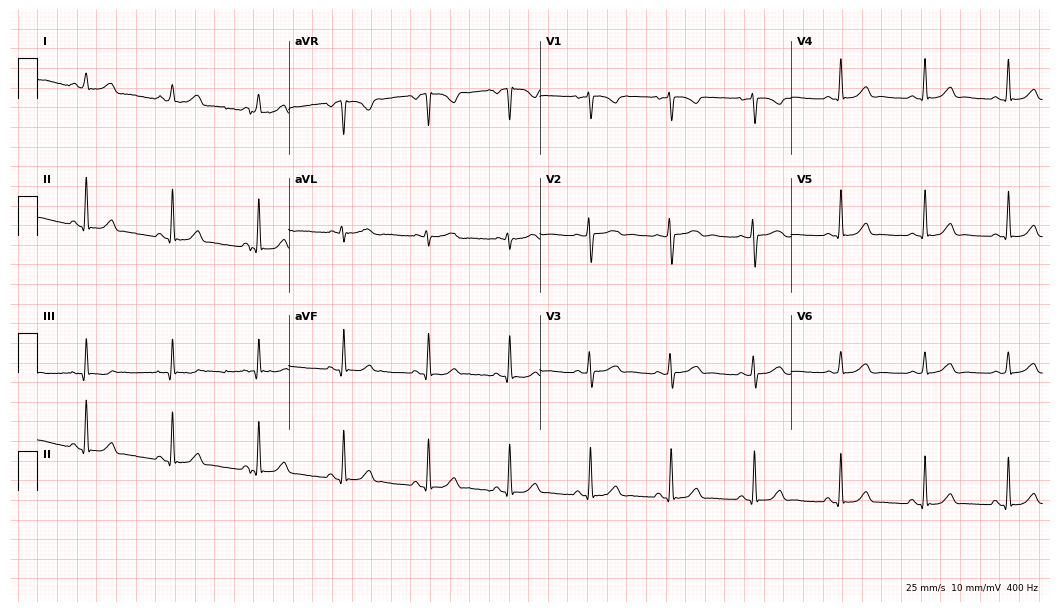
ECG — a woman, 31 years old. Screened for six findings — first-degree AV block, right bundle branch block (RBBB), left bundle branch block (LBBB), sinus bradycardia, atrial fibrillation (AF), sinus tachycardia — none is recorded. Other findings, if any, are not listed.